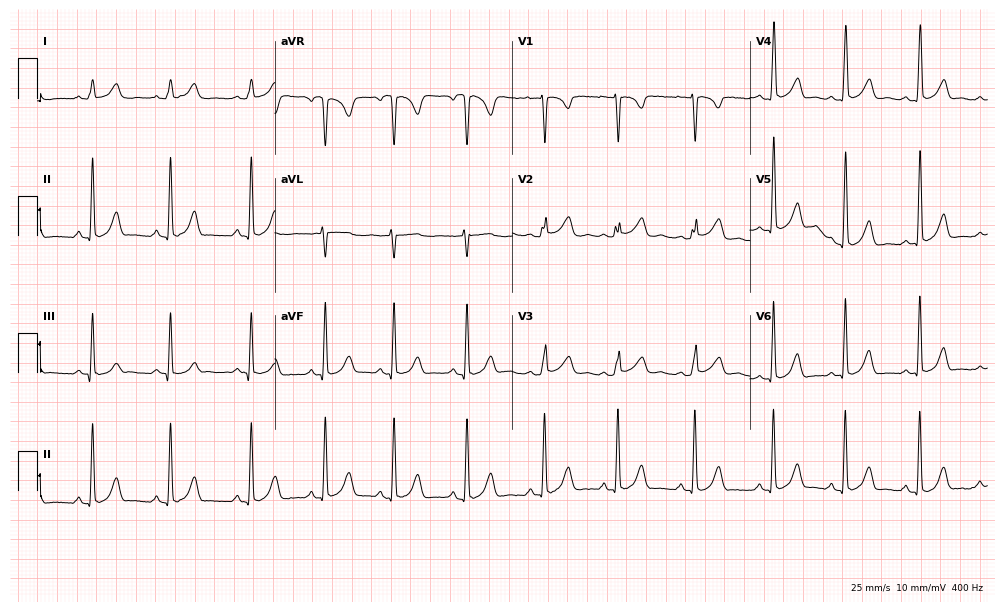
Resting 12-lead electrocardiogram (9.7-second recording at 400 Hz). Patient: a female, 18 years old. None of these six findings is recorded: first-degree AV block, right bundle branch block (RBBB), left bundle branch block (LBBB), sinus bradycardia, atrial fibrillation (AF), sinus tachycardia. Findings outside these six are not listed.